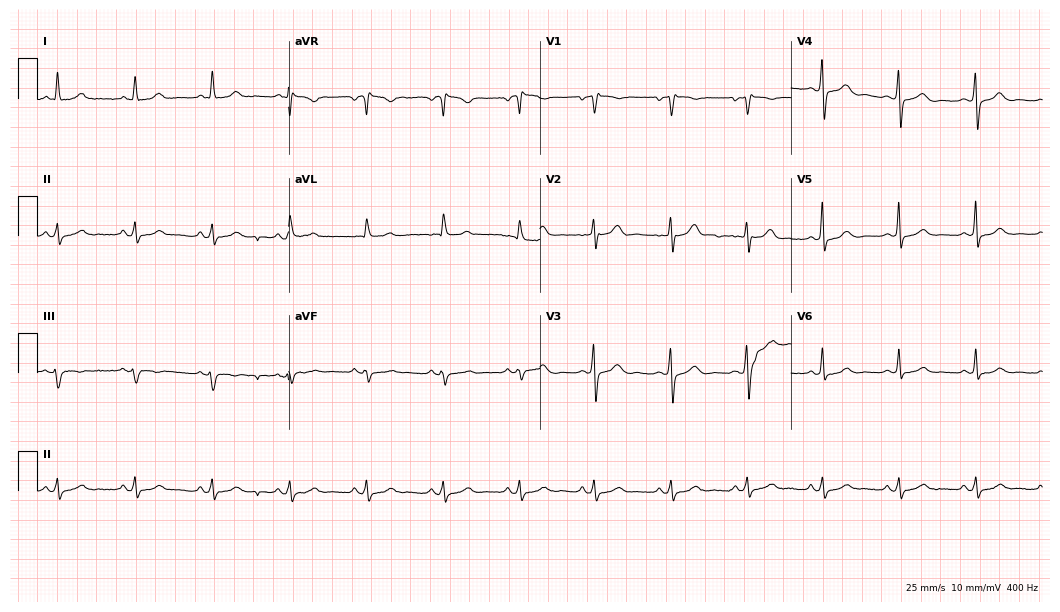
12-lead ECG from a 56-year-old man. Recorded interpretation: within normal limits.